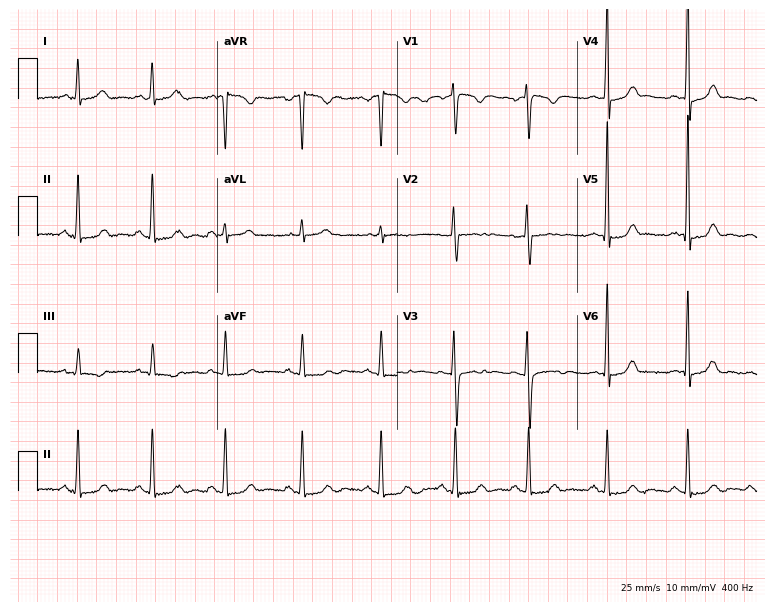
Standard 12-lead ECG recorded from a 26-year-old female patient (7.3-second recording at 400 Hz). Read as a normal ECG.